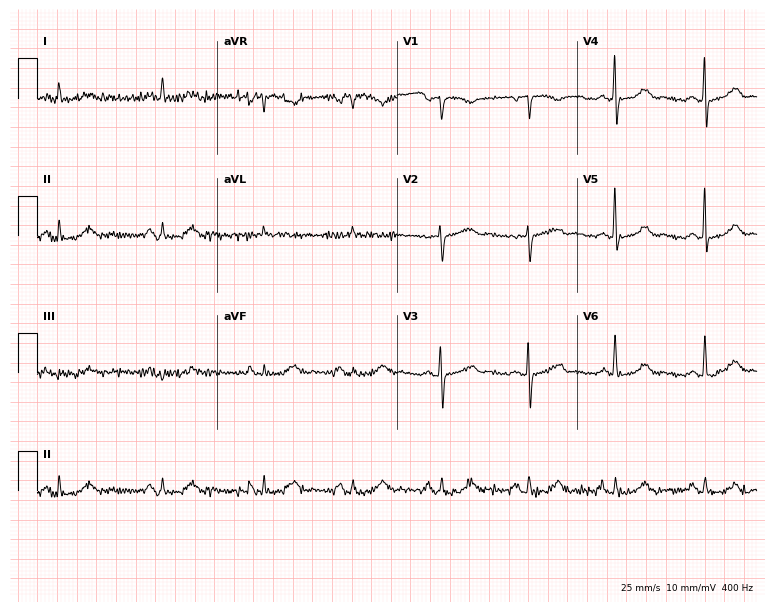
Standard 12-lead ECG recorded from a female, 56 years old (7.3-second recording at 400 Hz). Read as a normal ECG.